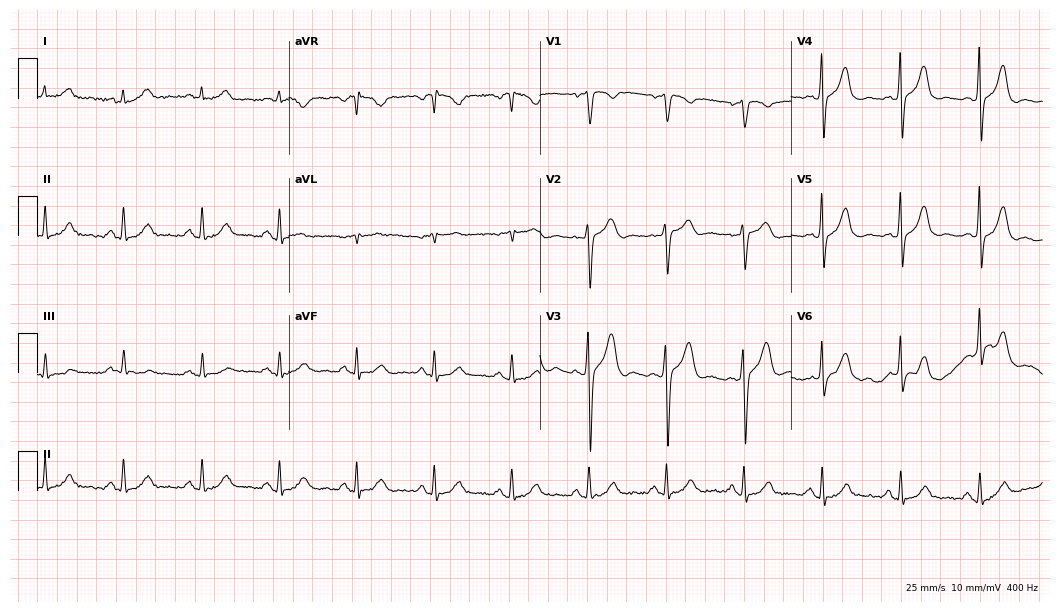
Standard 12-lead ECG recorded from a male patient, 63 years old (10.2-second recording at 400 Hz). None of these six findings is recorded: first-degree AV block, right bundle branch block (RBBB), left bundle branch block (LBBB), sinus bradycardia, atrial fibrillation (AF), sinus tachycardia. Findings outside these six are not listed.